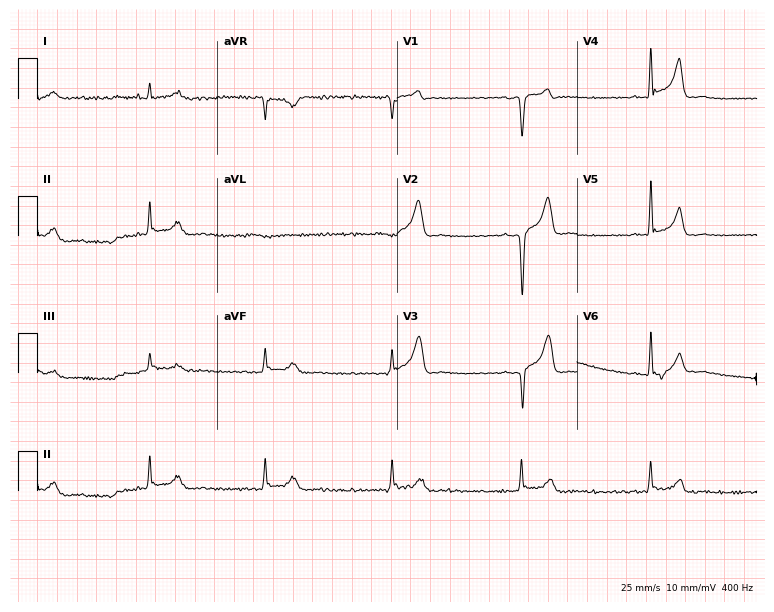
Resting 12-lead electrocardiogram (7.3-second recording at 400 Hz). Patient: a man, 62 years old. None of these six findings is recorded: first-degree AV block, right bundle branch block (RBBB), left bundle branch block (LBBB), sinus bradycardia, atrial fibrillation (AF), sinus tachycardia.